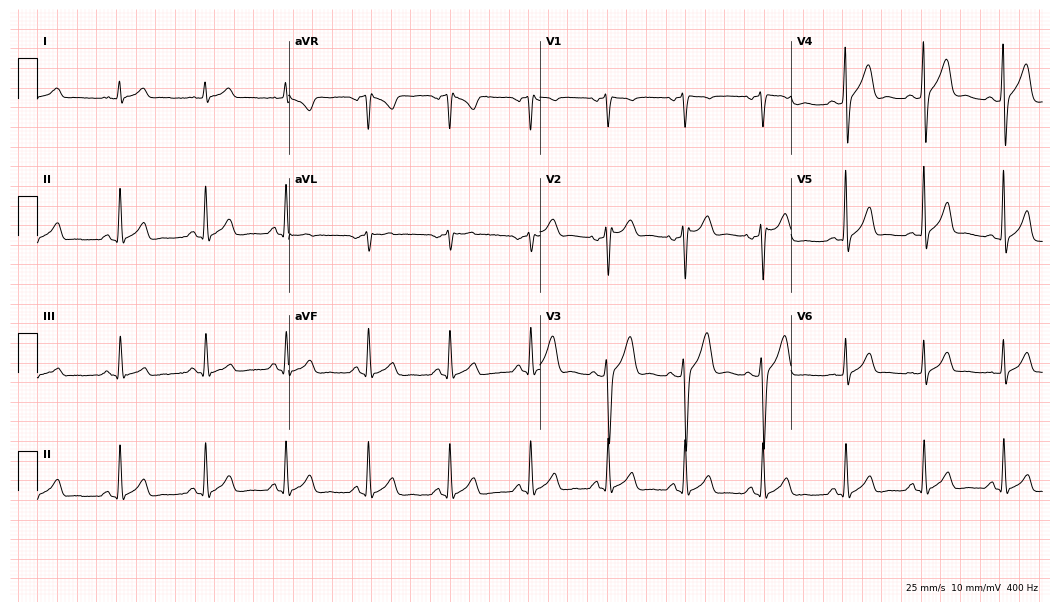
Standard 12-lead ECG recorded from a 30-year-old male patient (10.2-second recording at 400 Hz). Read as a normal ECG.